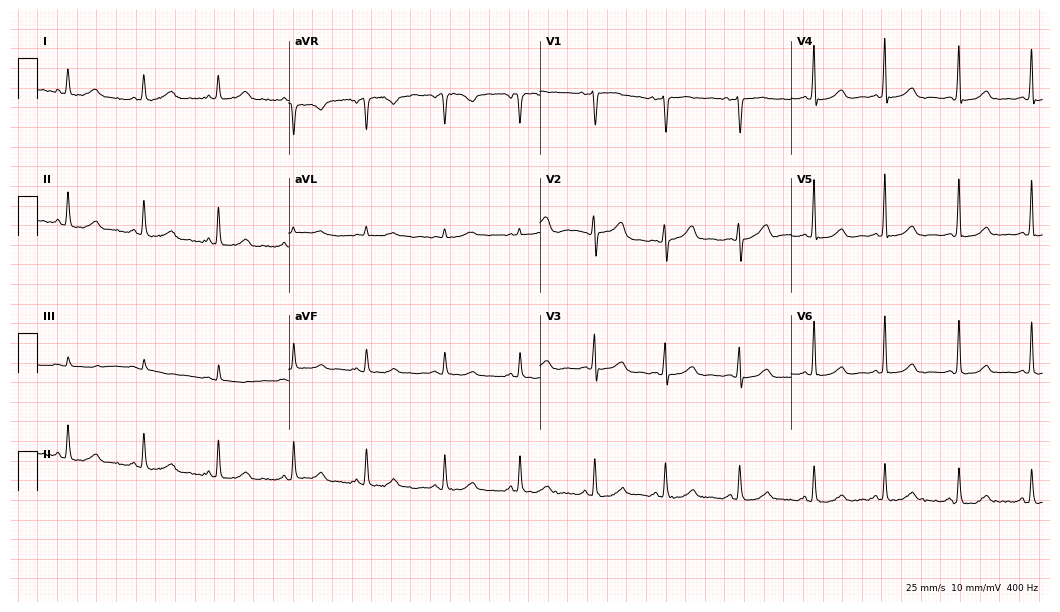
Standard 12-lead ECG recorded from a 63-year-old female. Read as a normal ECG.